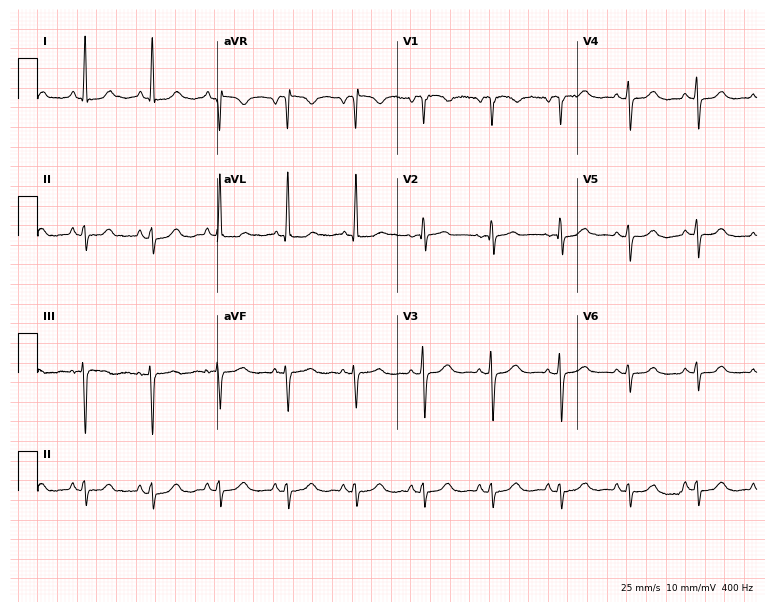
Resting 12-lead electrocardiogram (7.3-second recording at 400 Hz). Patient: a female, 84 years old. None of these six findings is recorded: first-degree AV block, right bundle branch block (RBBB), left bundle branch block (LBBB), sinus bradycardia, atrial fibrillation (AF), sinus tachycardia. Other findings, if any, are not listed.